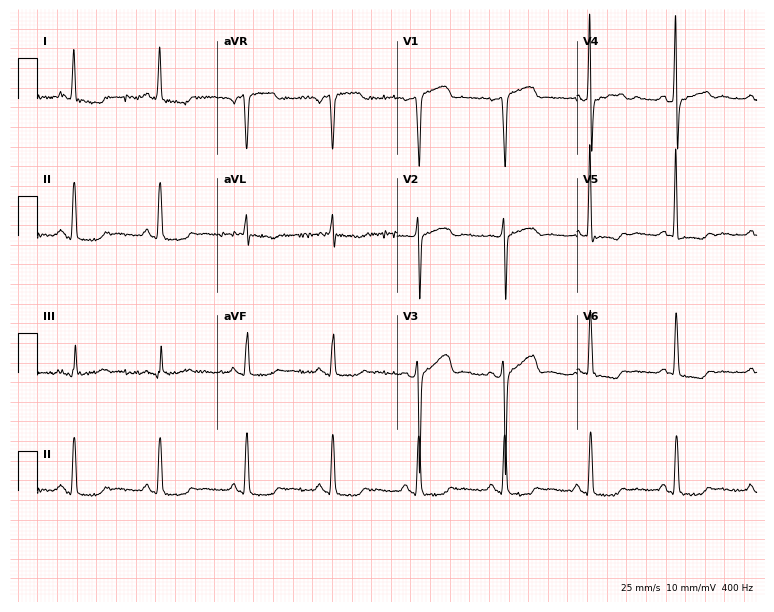
12-lead ECG (7.3-second recording at 400 Hz) from a 73-year-old female. Screened for six findings — first-degree AV block, right bundle branch block (RBBB), left bundle branch block (LBBB), sinus bradycardia, atrial fibrillation (AF), sinus tachycardia — none is recorded.